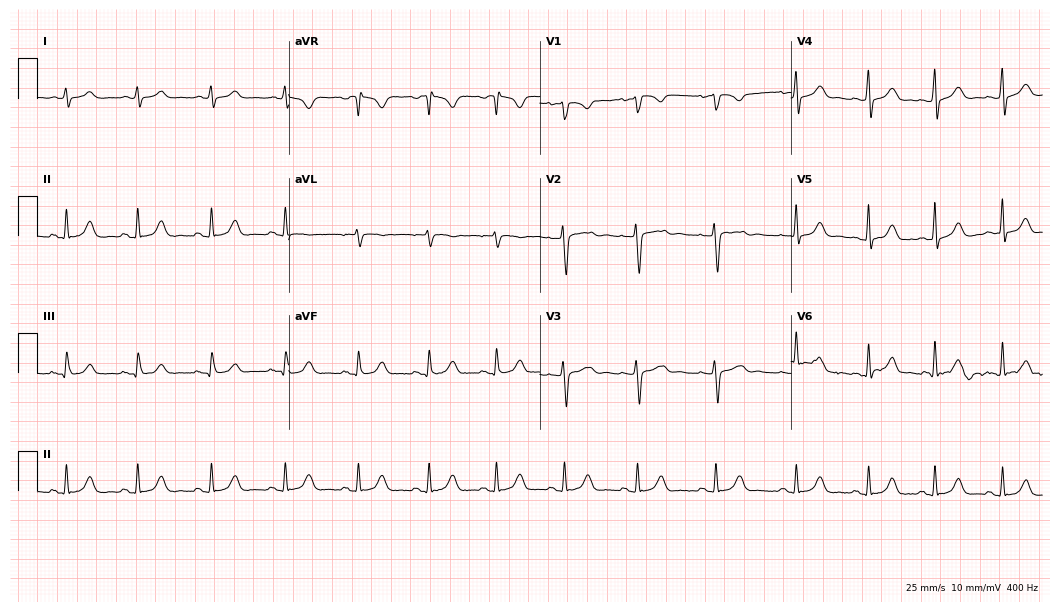
Standard 12-lead ECG recorded from a female patient, 36 years old. None of these six findings is recorded: first-degree AV block, right bundle branch block (RBBB), left bundle branch block (LBBB), sinus bradycardia, atrial fibrillation (AF), sinus tachycardia.